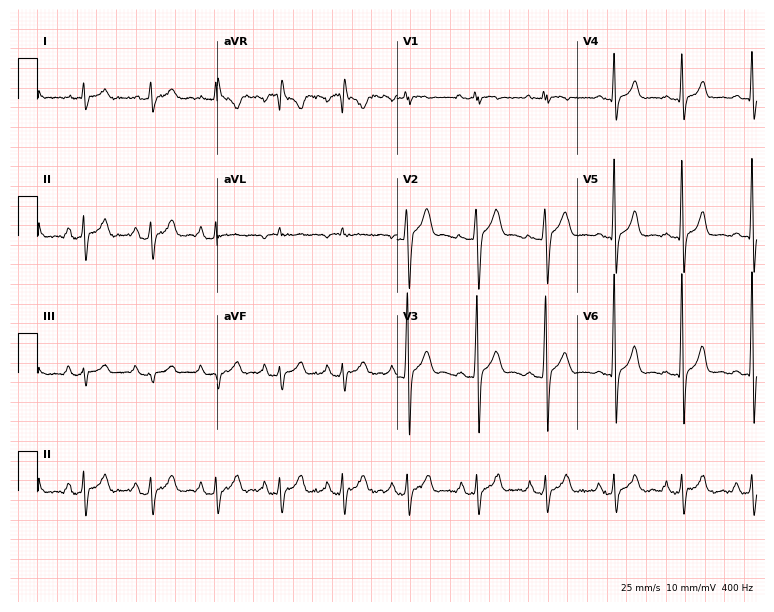
Resting 12-lead electrocardiogram. Patient: a man, 21 years old. Read as a normal ECG.